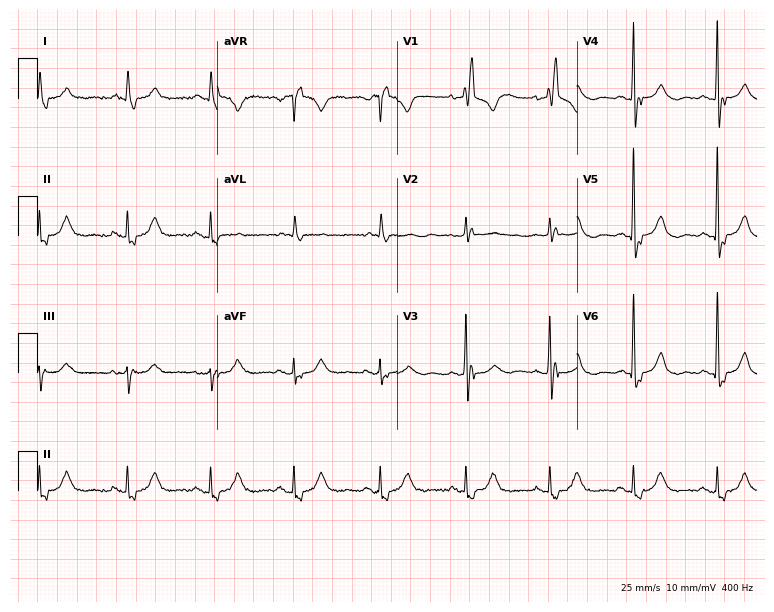
12-lead ECG from a woman, 73 years old. Shows right bundle branch block.